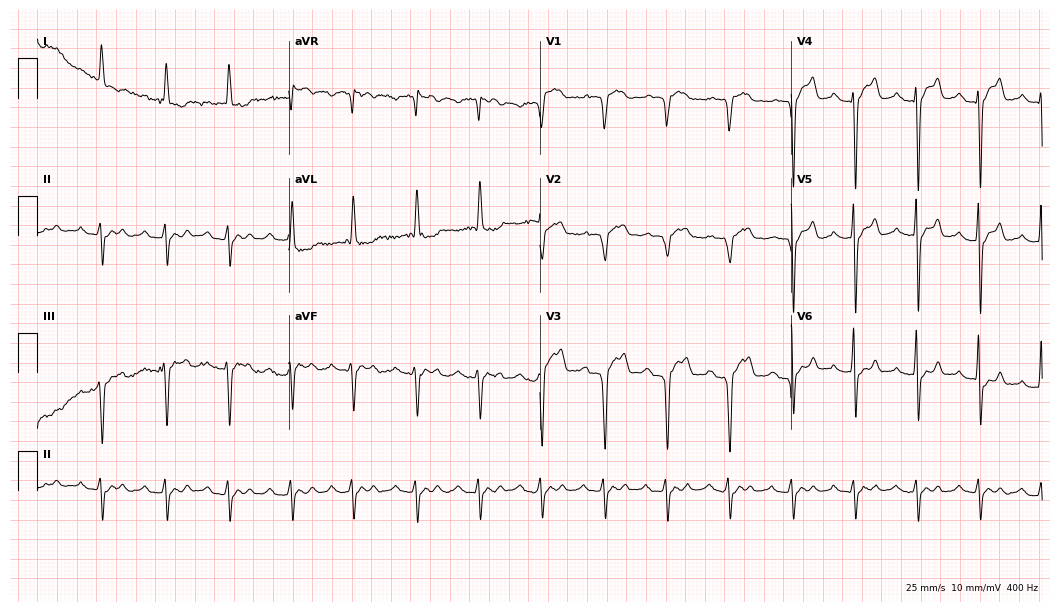
12-lead ECG from a female, 69 years old. Shows first-degree AV block.